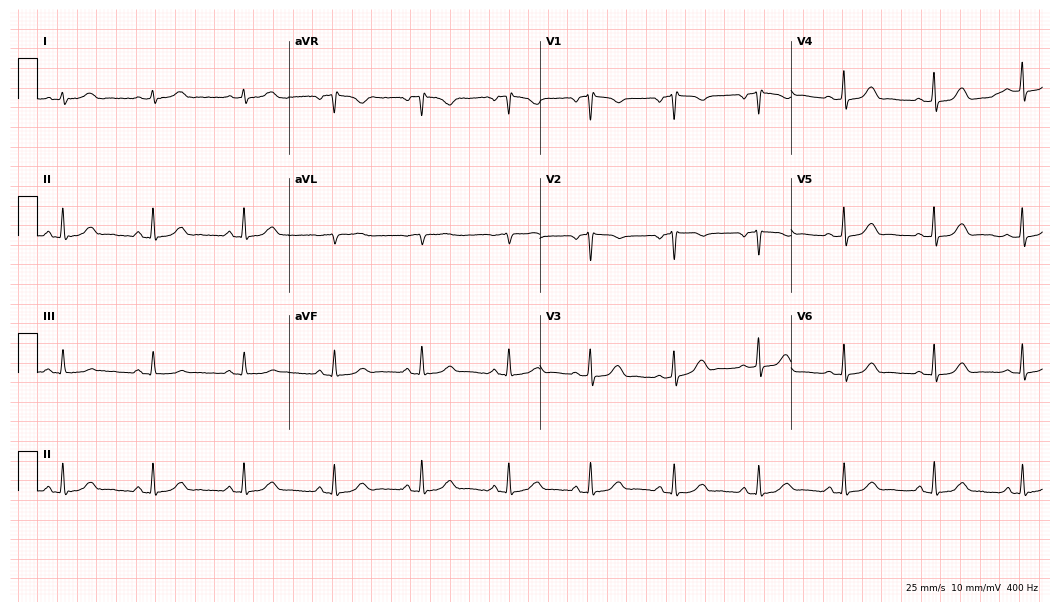
ECG (10.2-second recording at 400 Hz) — a 48-year-old female patient. Labelled as a normal ECG.